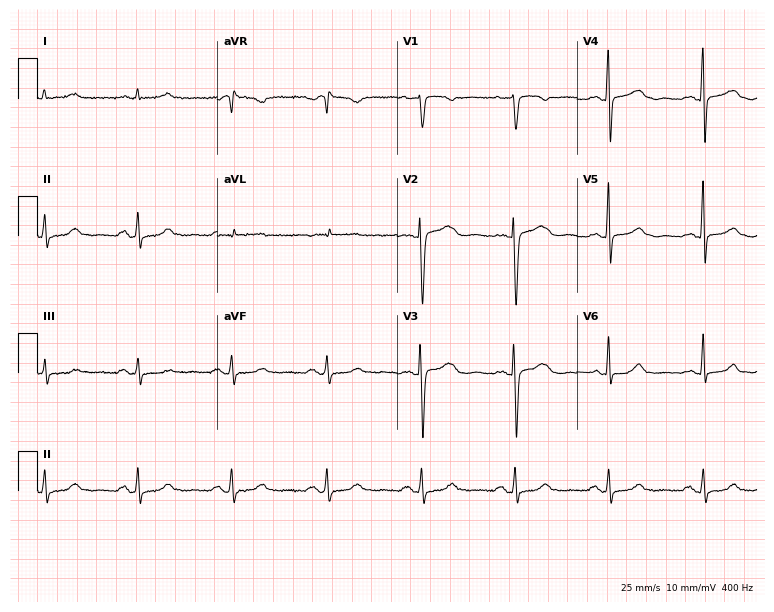
Resting 12-lead electrocardiogram. Patient: a woman, 64 years old. None of these six findings is recorded: first-degree AV block, right bundle branch block, left bundle branch block, sinus bradycardia, atrial fibrillation, sinus tachycardia. Findings outside these six are not listed.